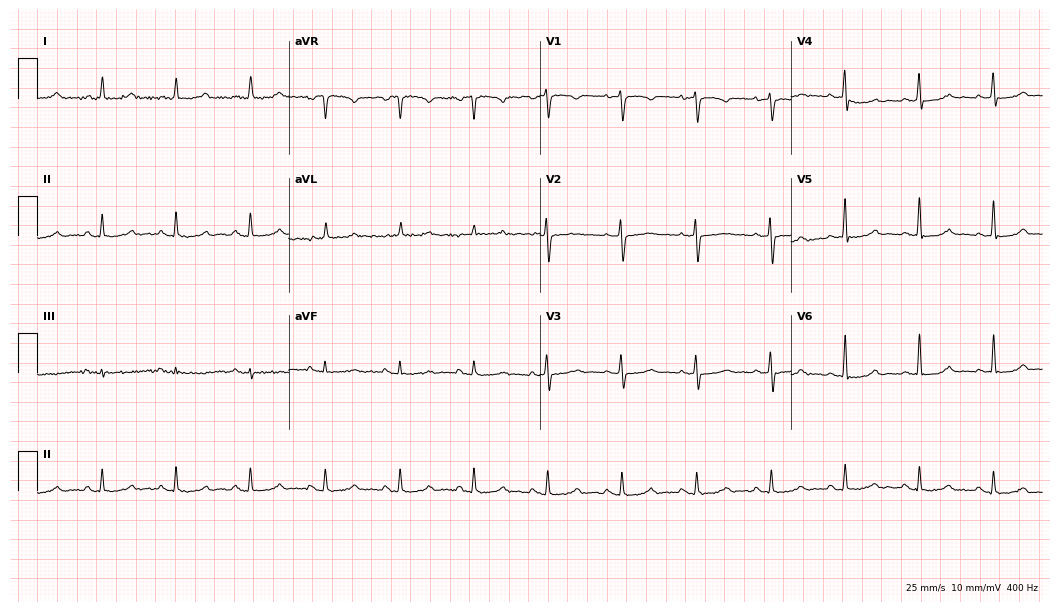
Resting 12-lead electrocardiogram (10.2-second recording at 400 Hz). Patient: a 62-year-old male. Read as a normal ECG.